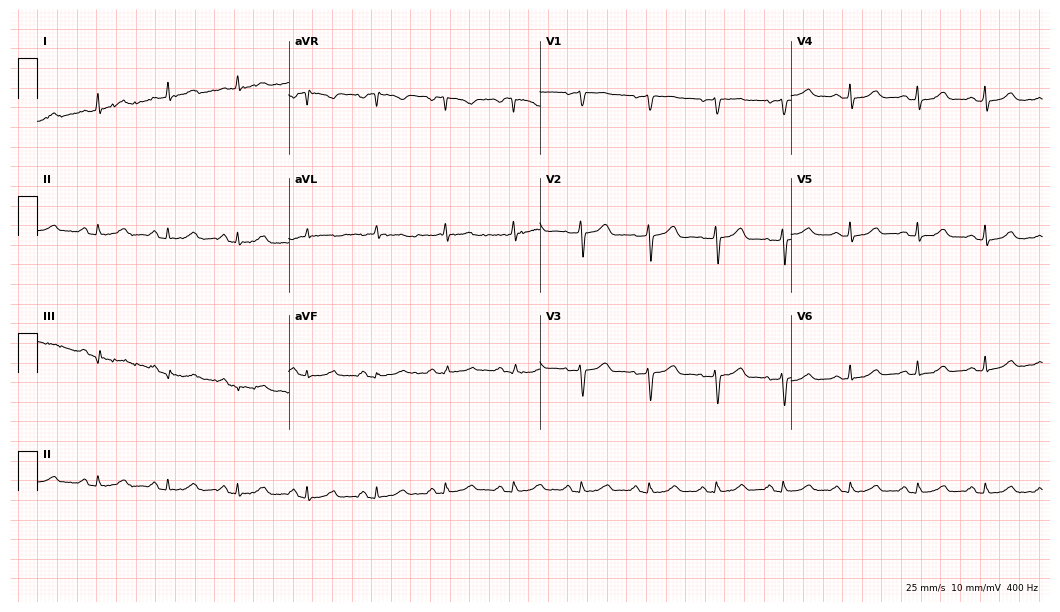
Standard 12-lead ECG recorded from a 61-year-old female. Read as a normal ECG.